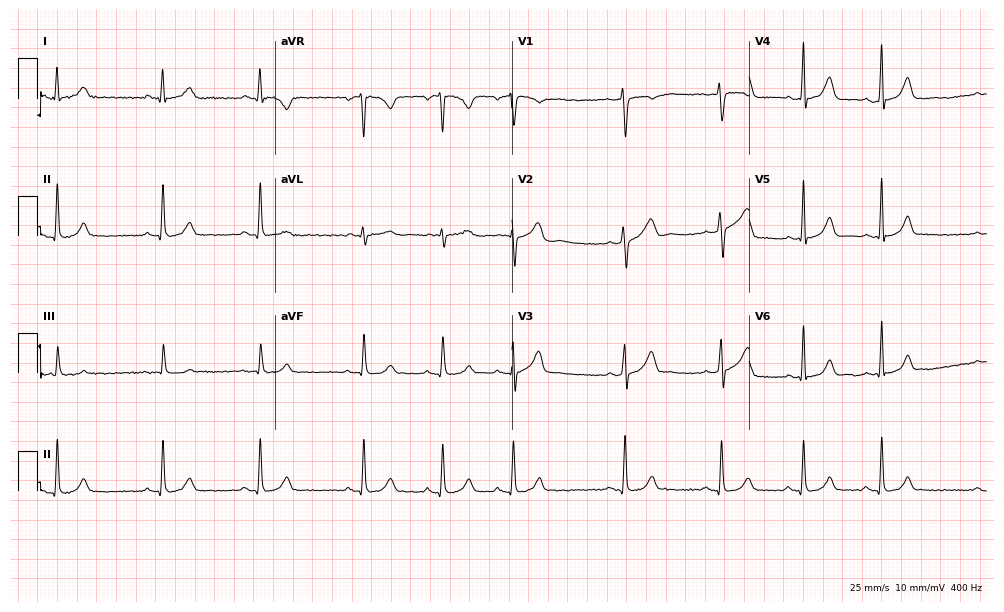
Resting 12-lead electrocardiogram (9.7-second recording at 400 Hz). Patient: a 22-year-old female. Read as a normal ECG.